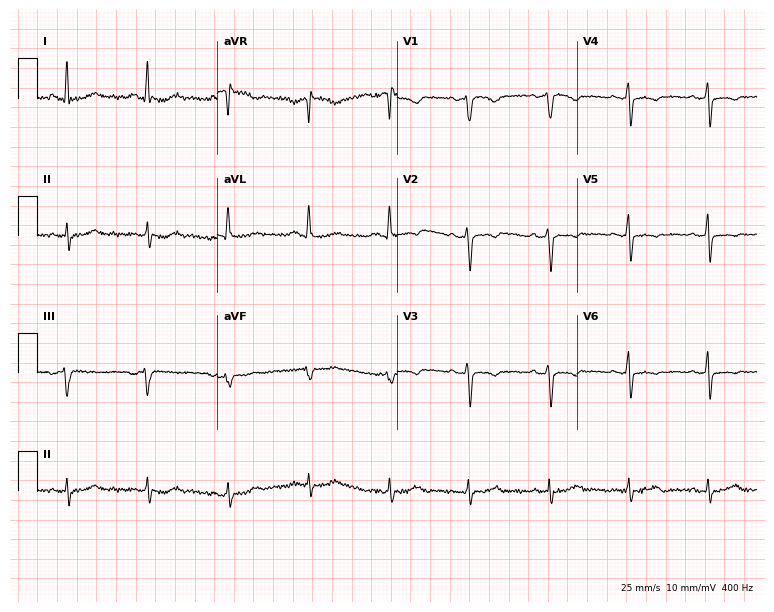
ECG (7.3-second recording at 400 Hz) — a 41-year-old woman. Screened for six findings — first-degree AV block, right bundle branch block, left bundle branch block, sinus bradycardia, atrial fibrillation, sinus tachycardia — none is recorded.